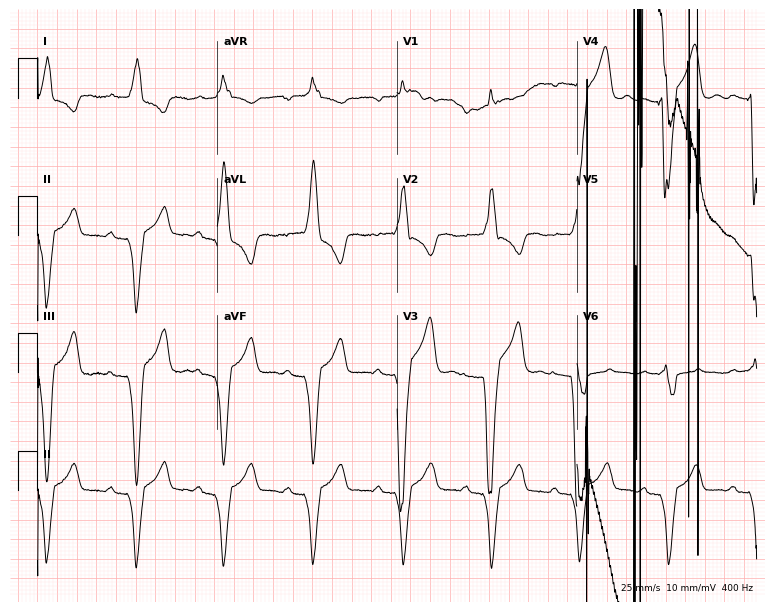
ECG (7.3-second recording at 400 Hz) — a female patient, 85 years old. Screened for six findings — first-degree AV block, right bundle branch block, left bundle branch block, sinus bradycardia, atrial fibrillation, sinus tachycardia — none is recorded. Findings outside these six are not listed.